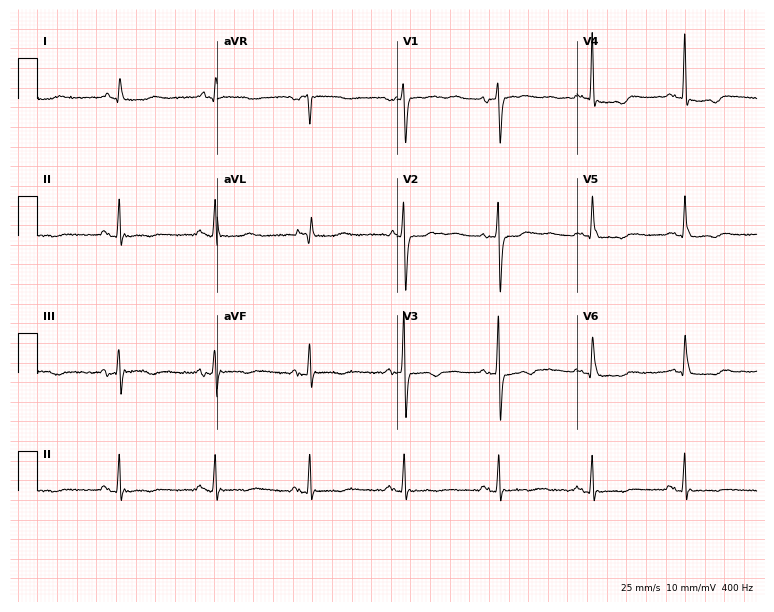
Resting 12-lead electrocardiogram (7.3-second recording at 400 Hz). Patient: a female, 64 years old. None of these six findings is recorded: first-degree AV block, right bundle branch block, left bundle branch block, sinus bradycardia, atrial fibrillation, sinus tachycardia. Other findings, if any, are not listed.